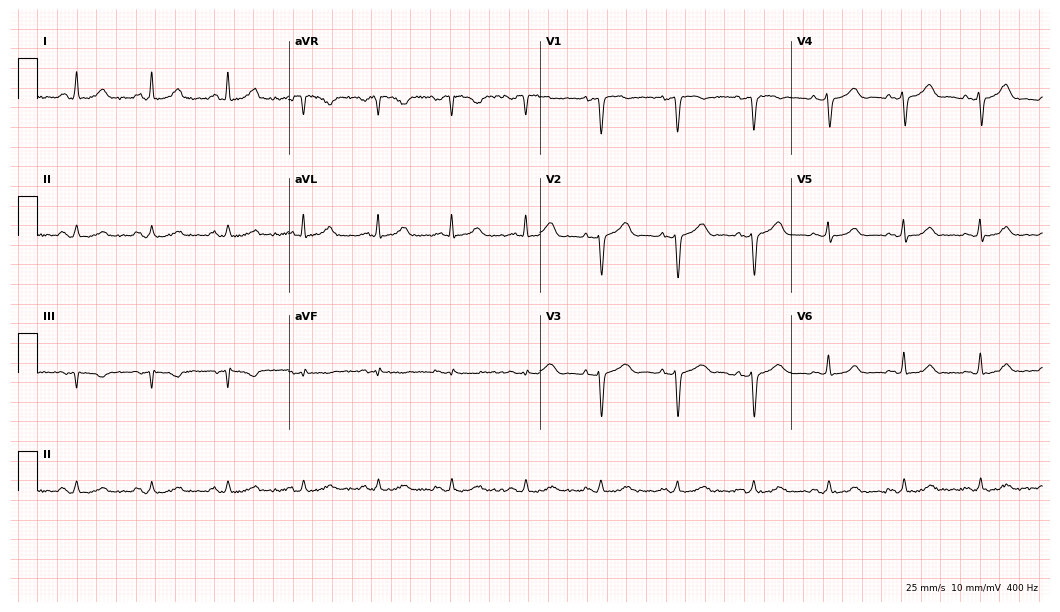
12-lead ECG from a female patient, 55 years old. Recorded interpretation: within normal limits.